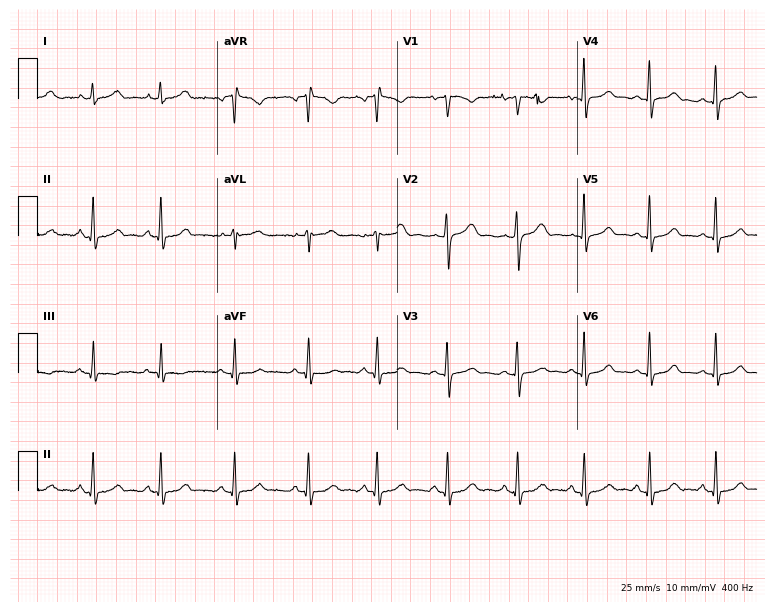
12-lead ECG from a woman, 18 years old. Labelled as a normal ECG.